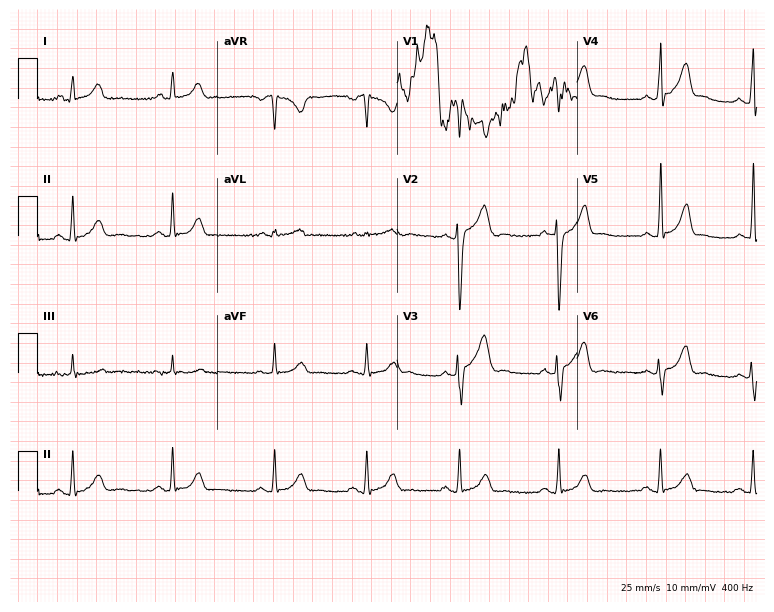
Standard 12-lead ECG recorded from a 31-year-old male patient (7.3-second recording at 400 Hz). None of these six findings is recorded: first-degree AV block, right bundle branch block (RBBB), left bundle branch block (LBBB), sinus bradycardia, atrial fibrillation (AF), sinus tachycardia. Other findings, if any, are not listed.